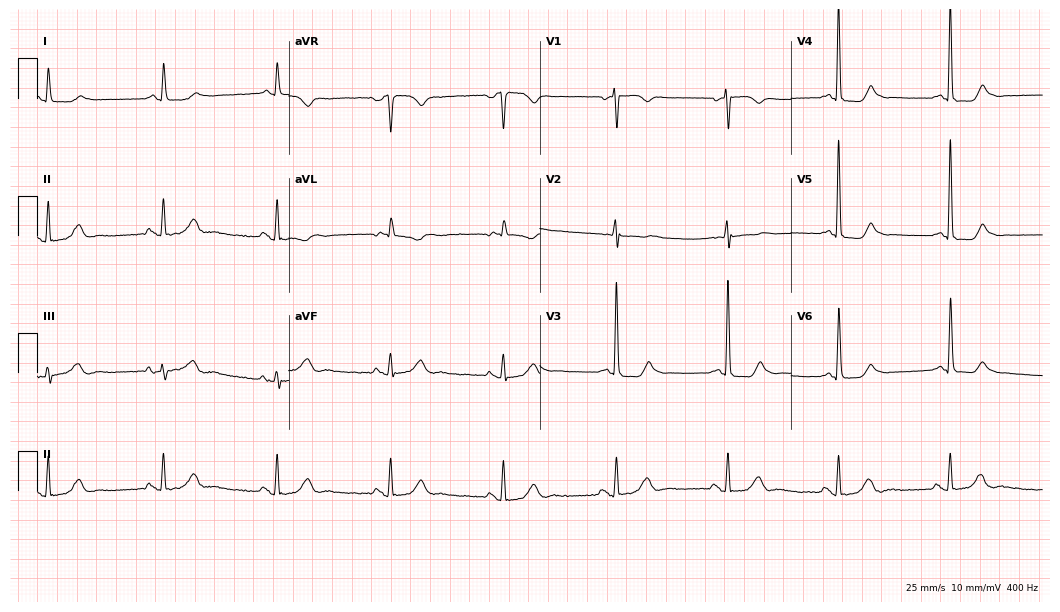
12-lead ECG (10.2-second recording at 400 Hz) from a 68-year-old woman. Screened for six findings — first-degree AV block, right bundle branch block, left bundle branch block, sinus bradycardia, atrial fibrillation, sinus tachycardia — none is recorded. Other findings, if any, are not listed.